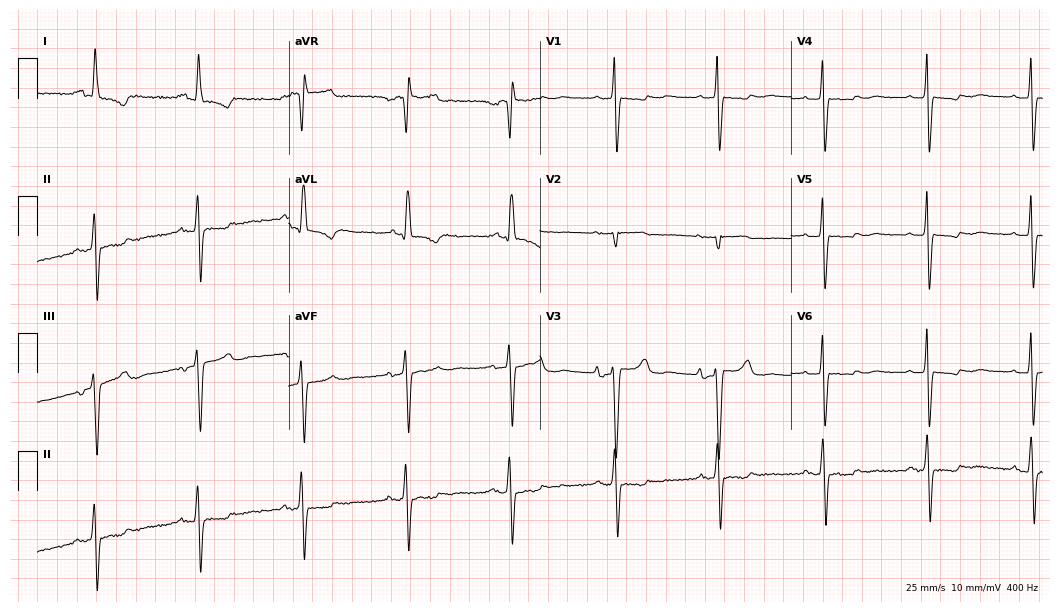
12-lead ECG (10.2-second recording at 400 Hz) from a female patient, 68 years old. Labelled as a normal ECG.